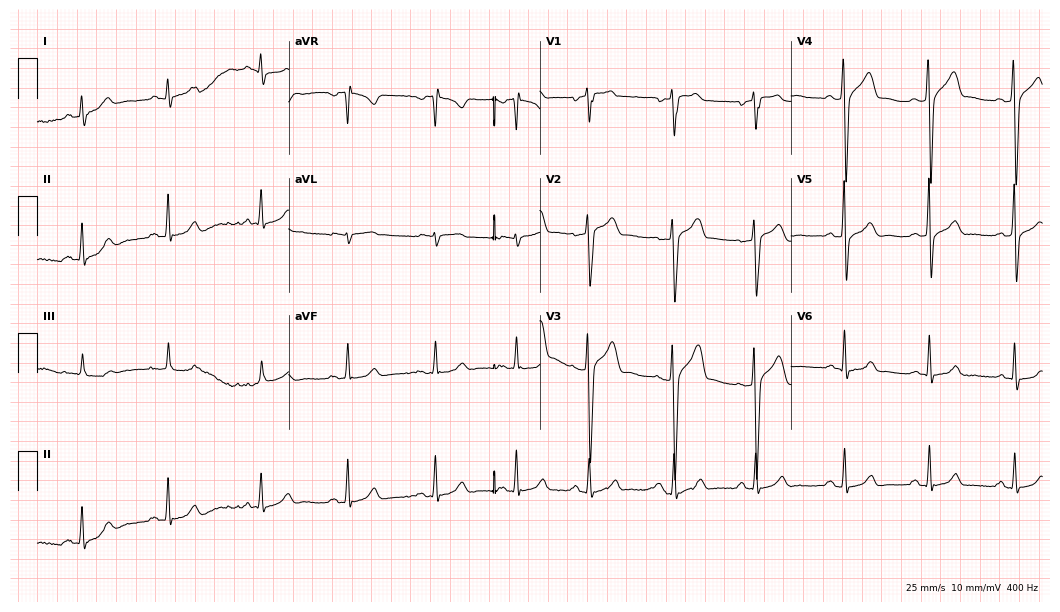
Standard 12-lead ECG recorded from a 44-year-old male patient (10.2-second recording at 400 Hz). The tracing shows atrial fibrillation (AF).